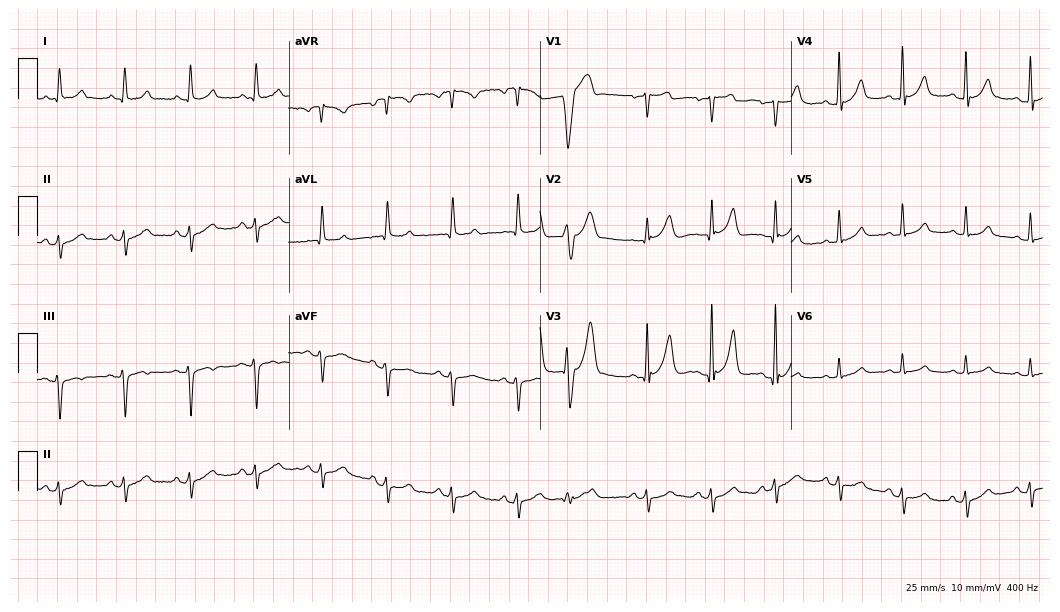
Standard 12-lead ECG recorded from a male patient, 83 years old. None of these six findings is recorded: first-degree AV block, right bundle branch block, left bundle branch block, sinus bradycardia, atrial fibrillation, sinus tachycardia. Only these six findings were labelled.